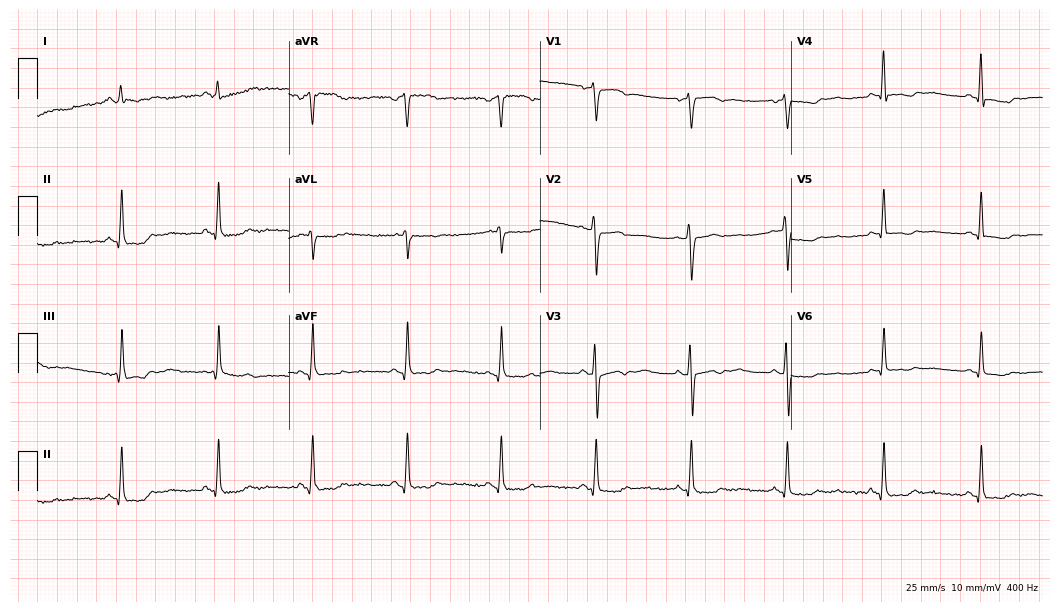
Resting 12-lead electrocardiogram. Patient: a woman, 49 years old. None of these six findings is recorded: first-degree AV block, right bundle branch block, left bundle branch block, sinus bradycardia, atrial fibrillation, sinus tachycardia.